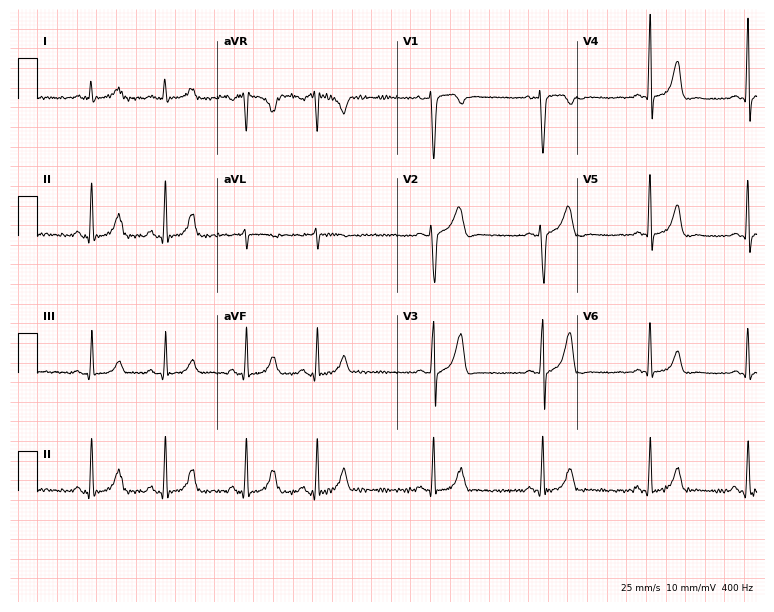
Standard 12-lead ECG recorded from a 34-year-old female patient (7.3-second recording at 400 Hz). None of these six findings is recorded: first-degree AV block, right bundle branch block, left bundle branch block, sinus bradycardia, atrial fibrillation, sinus tachycardia.